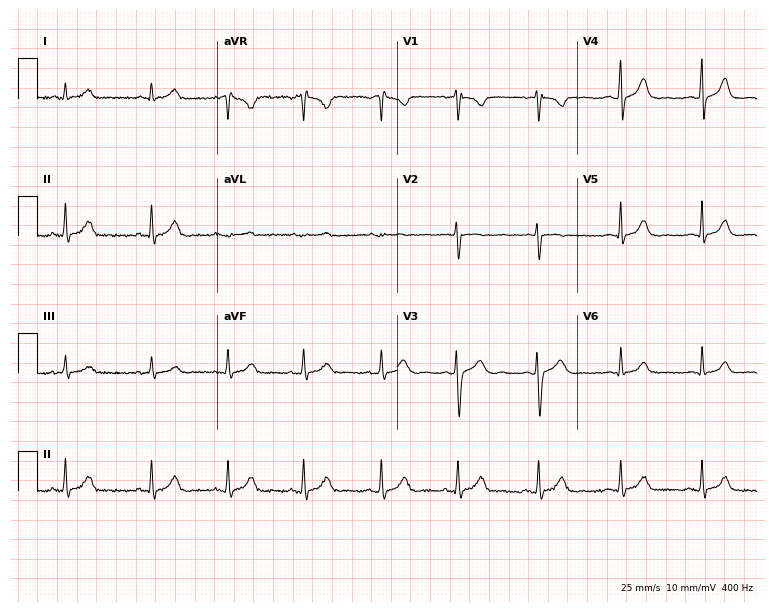
12-lead ECG from a 24-year-old female patient. Screened for six findings — first-degree AV block, right bundle branch block, left bundle branch block, sinus bradycardia, atrial fibrillation, sinus tachycardia — none is recorded. Other findings, if any, are not listed.